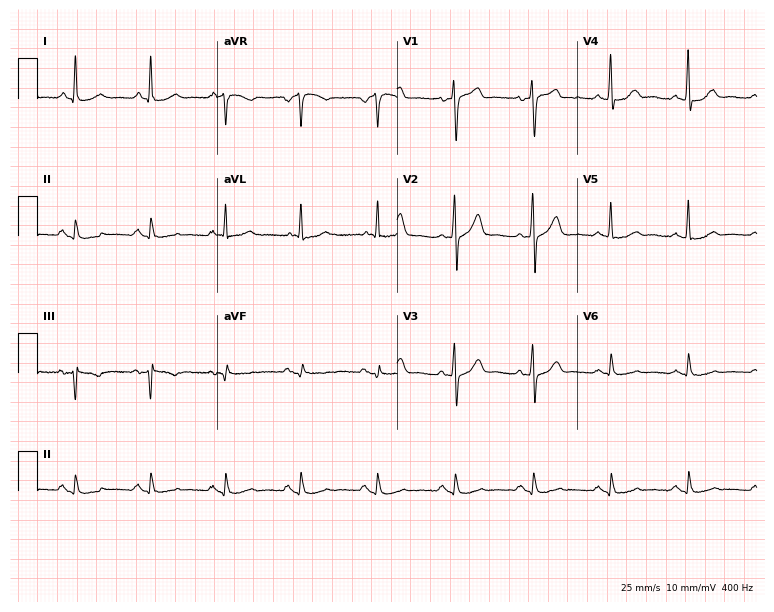
Electrocardiogram (7.3-second recording at 400 Hz), a man, 76 years old. Overall reading on record: normal ECG.